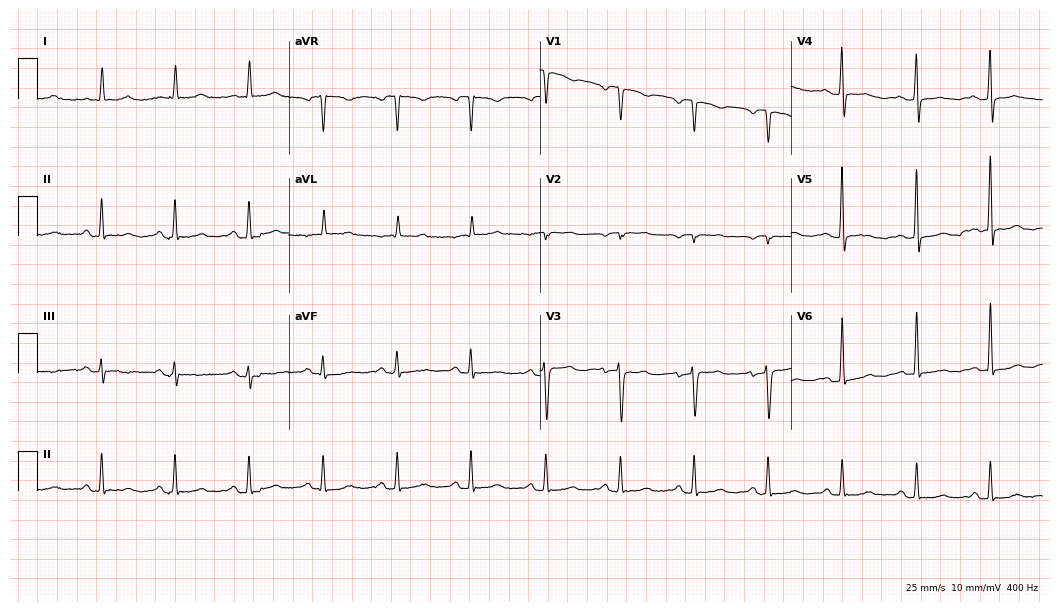
ECG — an 83-year-old female. Screened for six findings — first-degree AV block, right bundle branch block, left bundle branch block, sinus bradycardia, atrial fibrillation, sinus tachycardia — none is recorded.